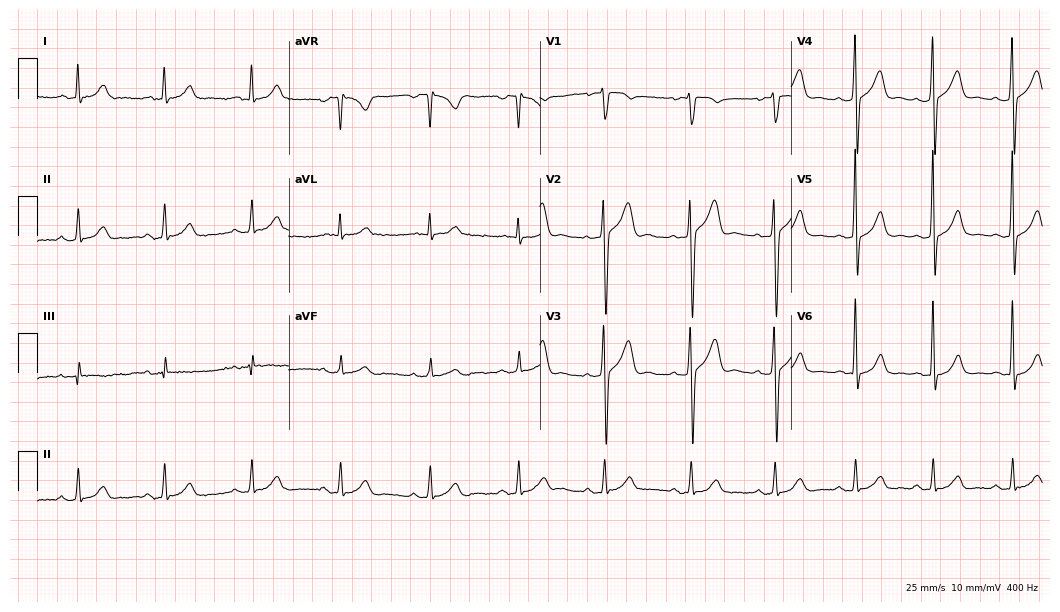
ECG (10.2-second recording at 400 Hz) — a man, 54 years old. Labelled as a normal ECG.